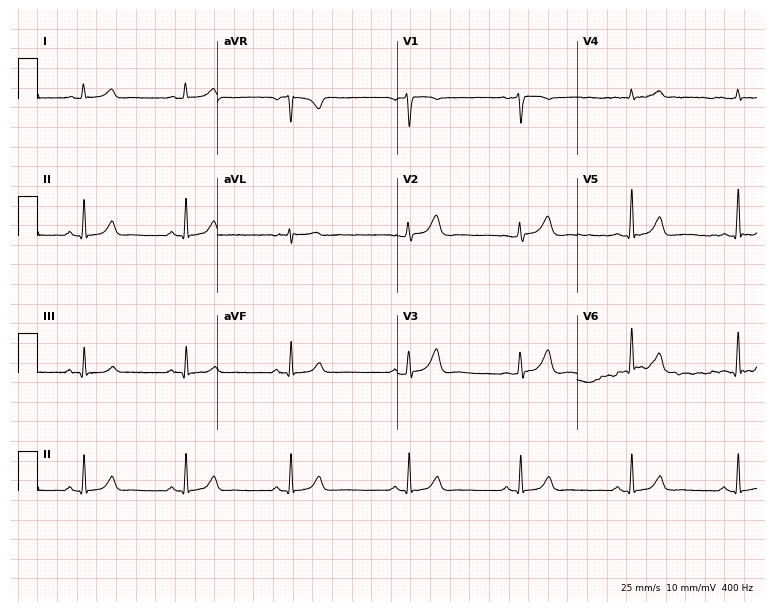
Electrocardiogram, a woman, 47 years old. Overall reading on record: normal ECG.